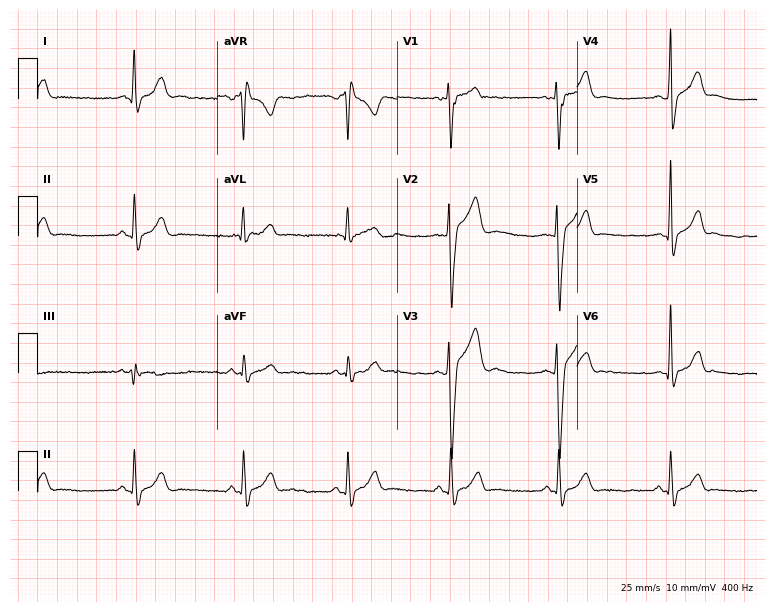
ECG (7.3-second recording at 400 Hz) — a 19-year-old male. Screened for six findings — first-degree AV block, right bundle branch block, left bundle branch block, sinus bradycardia, atrial fibrillation, sinus tachycardia — none is recorded.